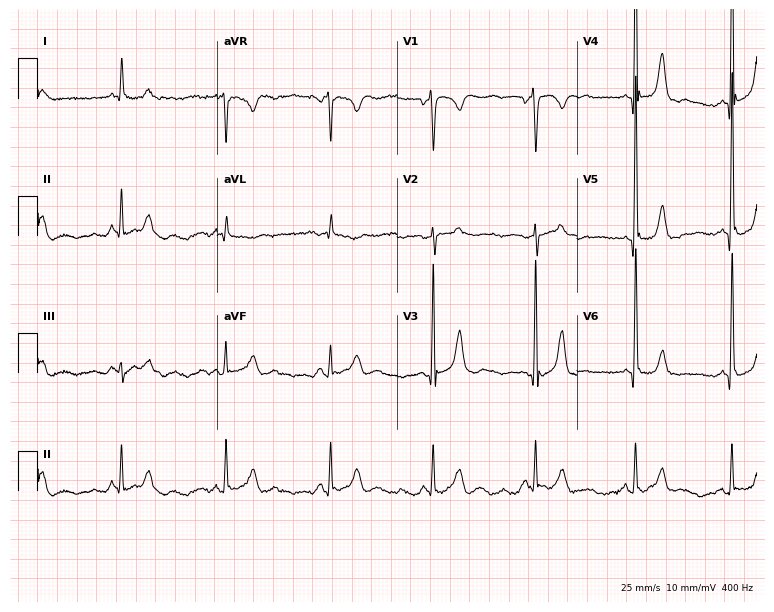
Electrocardiogram, a man, 76 years old. Of the six screened findings (first-degree AV block, right bundle branch block, left bundle branch block, sinus bradycardia, atrial fibrillation, sinus tachycardia), none is recorded.